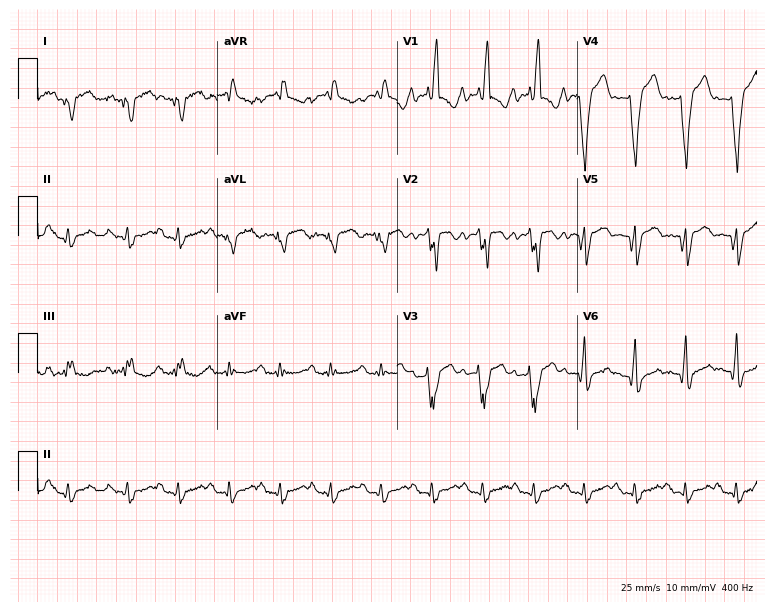
Resting 12-lead electrocardiogram. Patient: a man, 46 years old. The tracing shows right bundle branch block, sinus tachycardia (a sinus rate of 100 beats per minute or more).